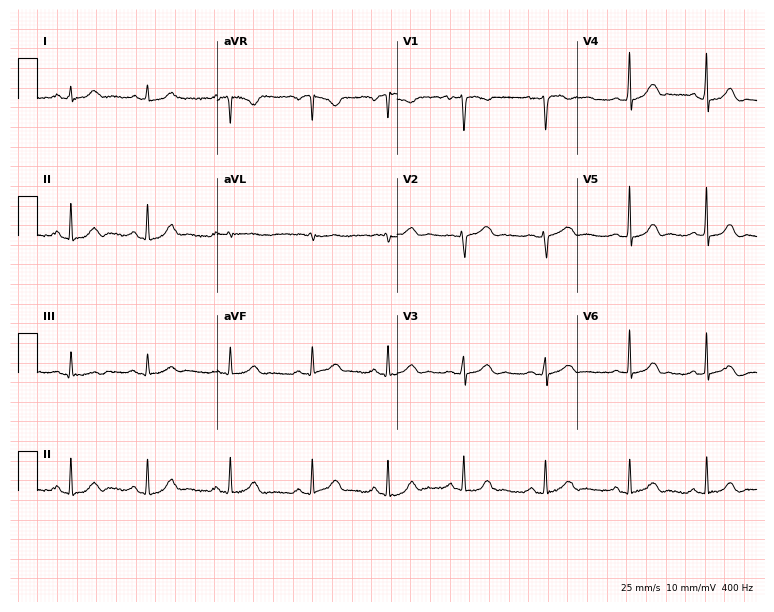
Standard 12-lead ECG recorded from a female patient, 22 years old (7.3-second recording at 400 Hz). None of these six findings is recorded: first-degree AV block, right bundle branch block (RBBB), left bundle branch block (LBBB), sinus bradycardia, atrial fibrillation (AF), sinus tachycardia.